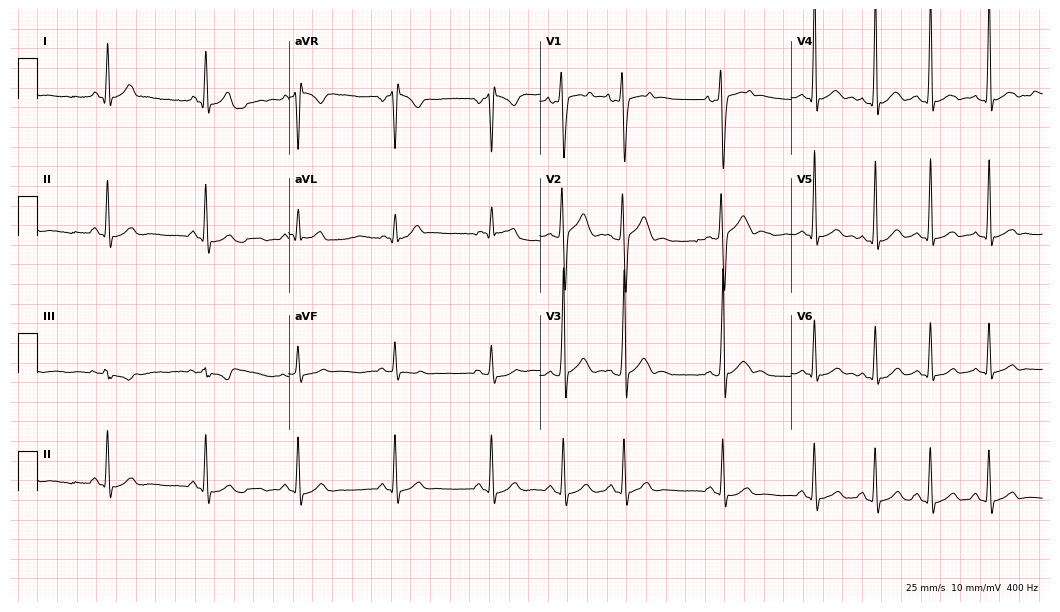
12-lead ECG (10.2-second recording at 400 Hz) from a 17-year-old male. Labelled as a normal ECG.